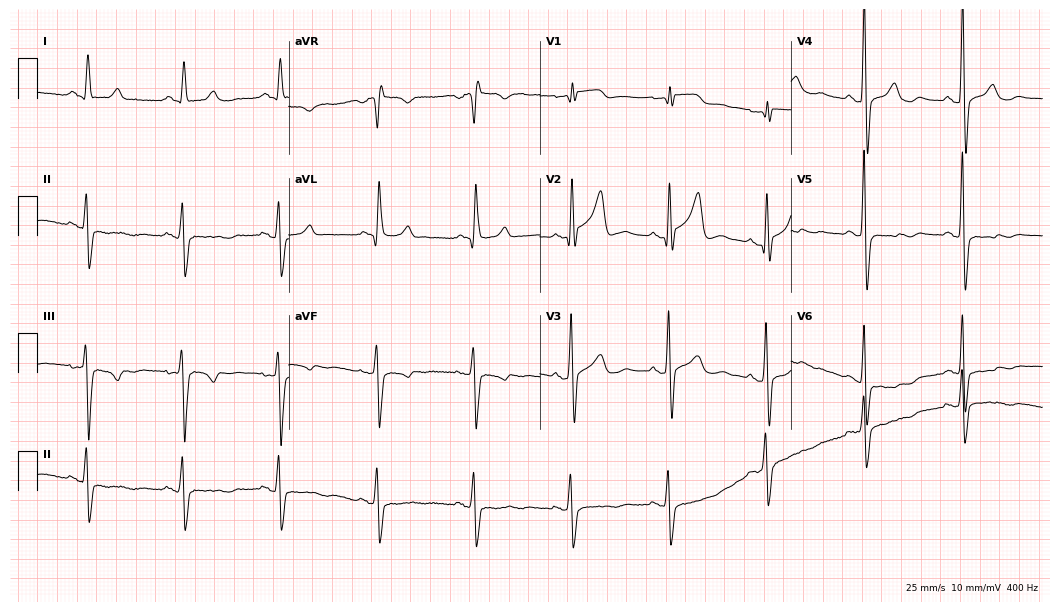
Resting 12-lead electrocardiogram. Patient: a 76-year-old man. None of these six findings is recorded: first-degree AV block, right bundle branch block, left bundle branch block, sinus bradycardia, atrial fibrillation, sinus tachycardia. Other findings, if any, are not listed.